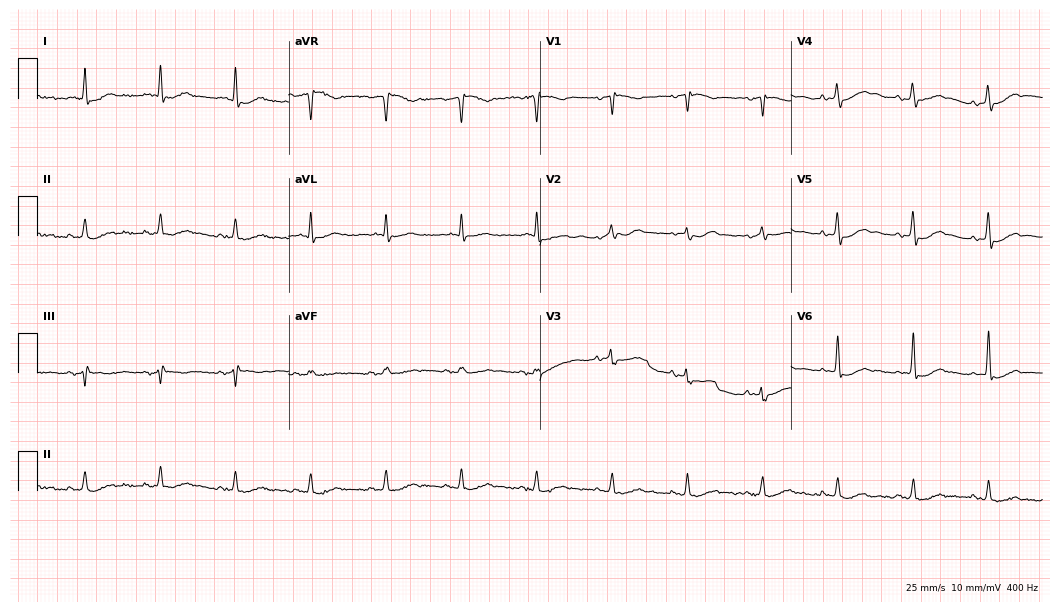
Standard 12-lead ECG recorded from a male patient, 80 years old. None of these six findings is recorded: first-degree AV block, right bundle branch block, left bundle branch block, sinus bradycardia, atrial fibrillation, sinus tachycardia.